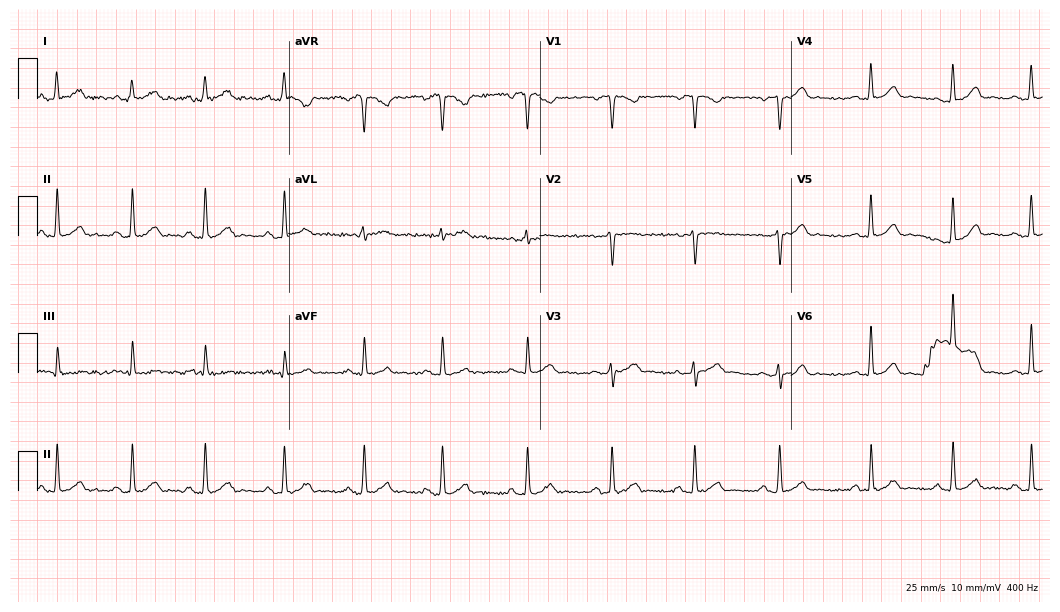
ECG (10.2-second recording at 400 Hz) — a female patient, 22 years old. Labelled as a normal ECG.